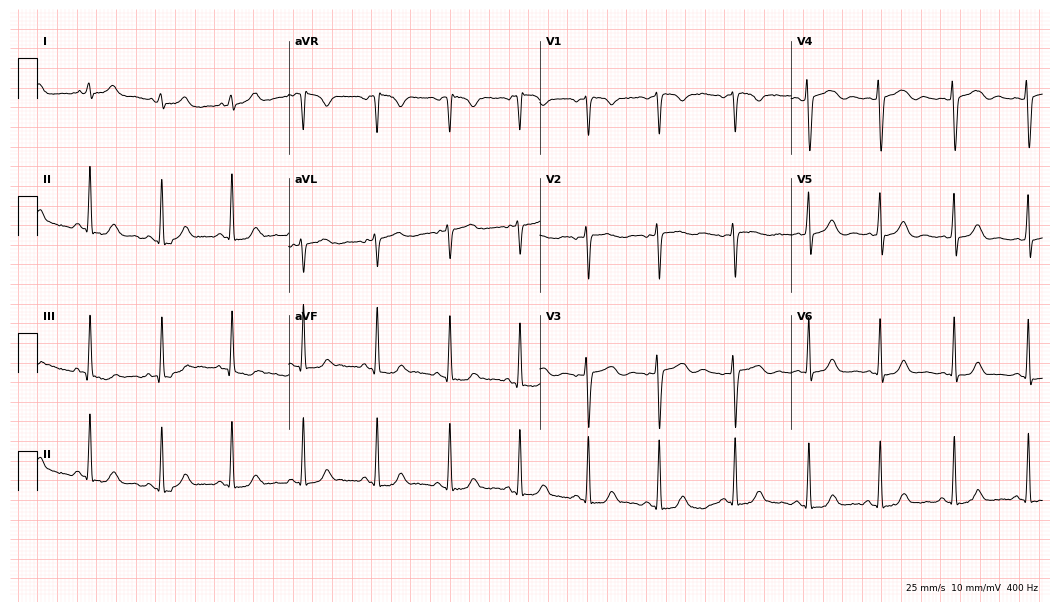
12-lead ECG from a female, 43 years old. No first-degree AV block, right bundle branch block, left bundle branch block, sinus bradycardia, atrial fibrillation or sinus tachycardia recorded for this tracing.